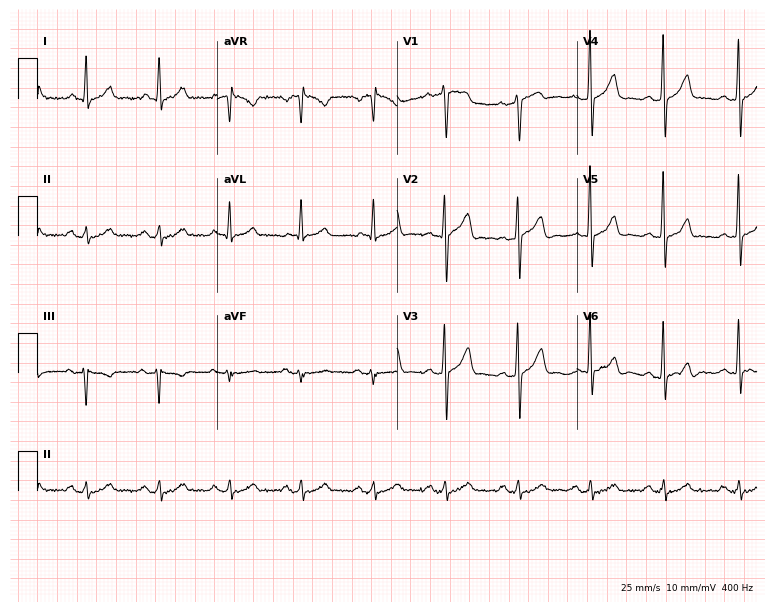
Electrocardiogram, a 66-year-old man. Of the six screened findings (first-degree AV block, right bundle branch block, left bundle branch block, sinus bradycardia, atrial fibrillation, sinus tachycardia), none is recorded.